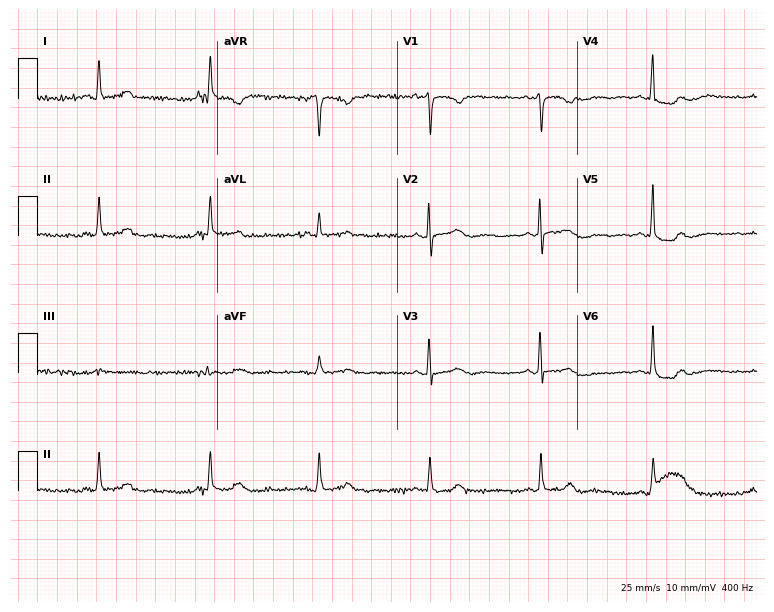
ECG (7.3-second recording at 400 Hz) — an 84-year-old woman. Labelled as a normal ECG.